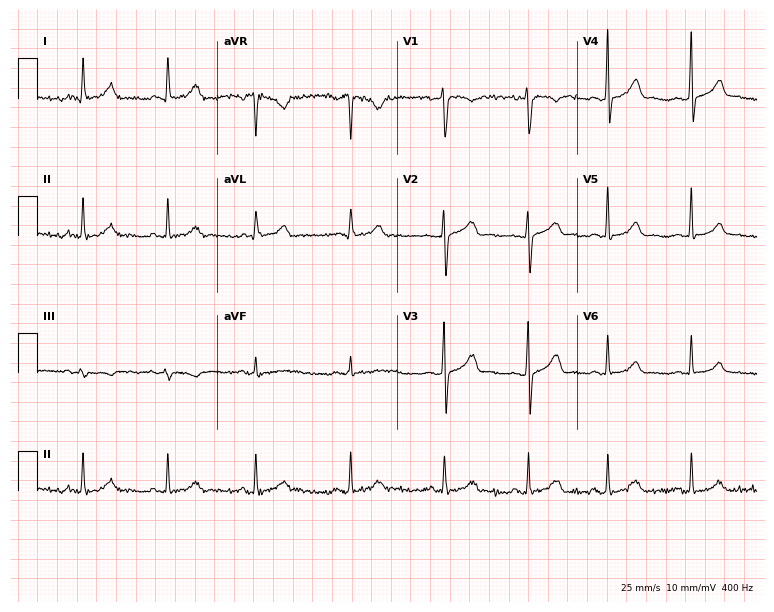
ECG — a male, 26 years old. Labelled as a normal ECG.